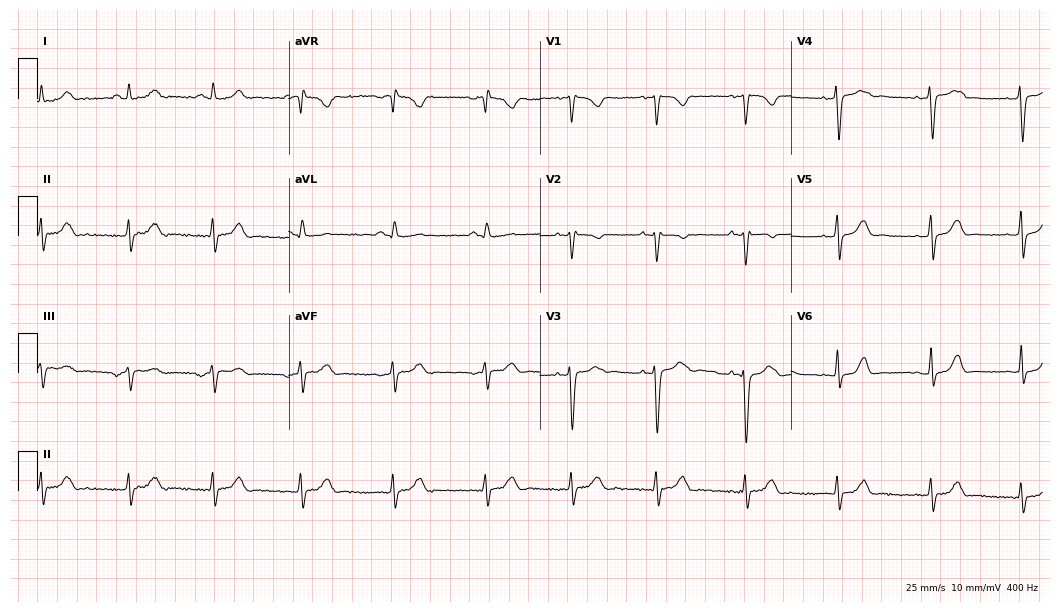
12-lead ECG (10.2-second recording at 400 Hz) from a woman, 23 years old. Screened for six findings — first-degree AV block, right bundle branch block, left bundle branch block, sinus bradycardia, atrial fibrillation, sinus tachycardia — none is recorded.